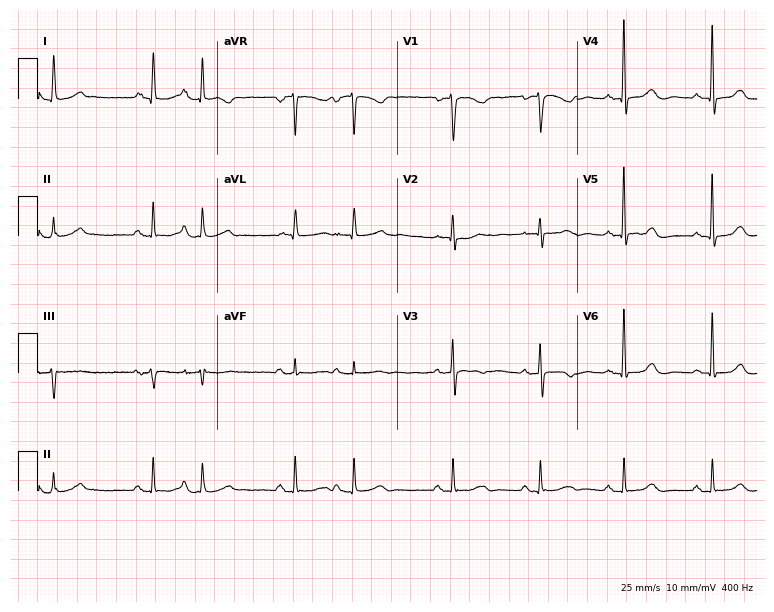
12-lead ECG from a 54-year-old woman. Screened for six findings — first-degree AV block, right bundle branch block, left bundle branch block, sinus bradycardia, atrial fibrillation, sinus tachycardia — none is recorded. Findings outside these six are not listed.